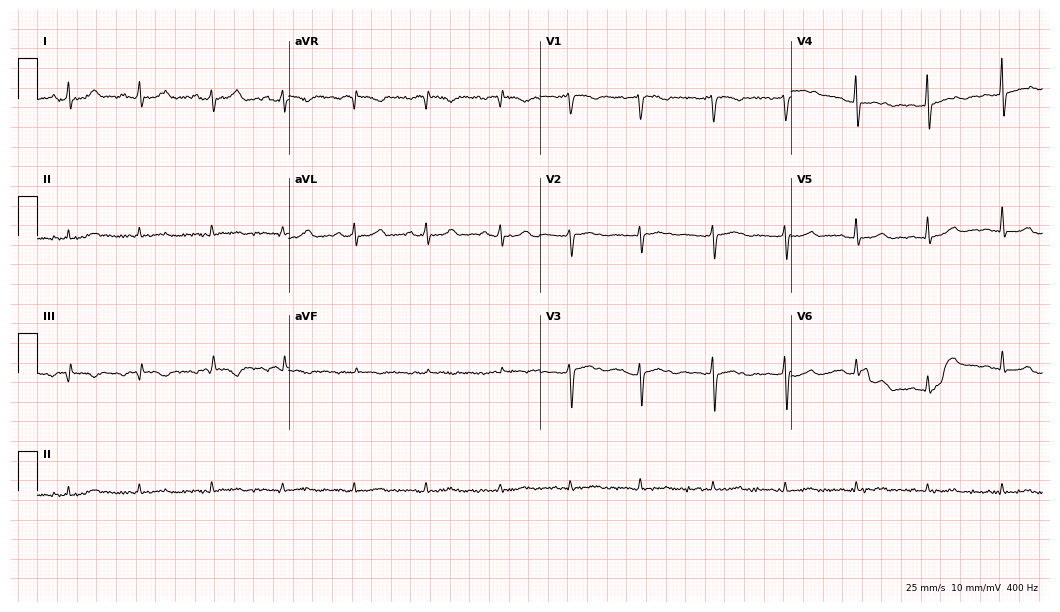
ECG (10.2-second recording at 400 Hz) — a 58-year-old female patient. Screened for six findings — first-degree AV block, right bundle branch block (RBBB), left bundle branch block (LBBB), sinus bradycardia, atrial fibrillation (AF), sinus tachycardia — none is recorded. Findings outside these six are not listed.